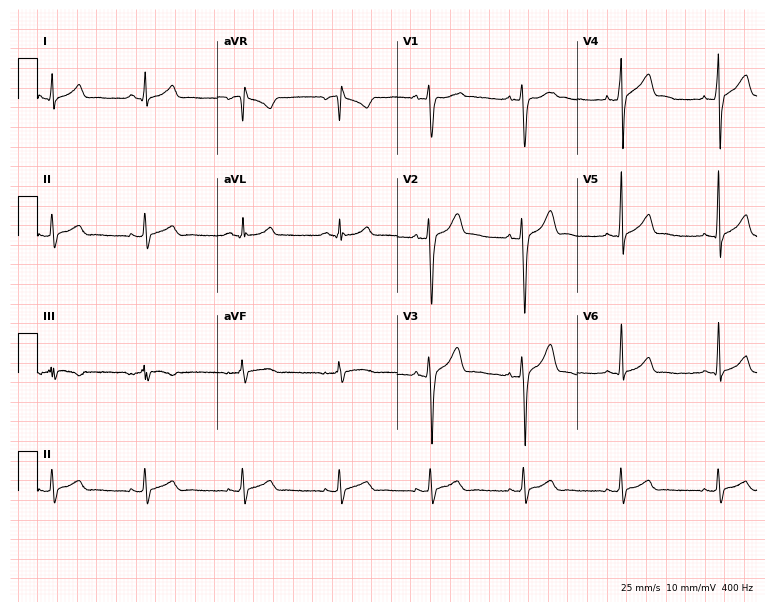
ECG — a 28-year-old man. Screened for six findings — first-degree AV block, right bundle branch block, left bundle branch block, sinus bradycardia, atrial fibrillation, sinus tachycardia — none is recorded.